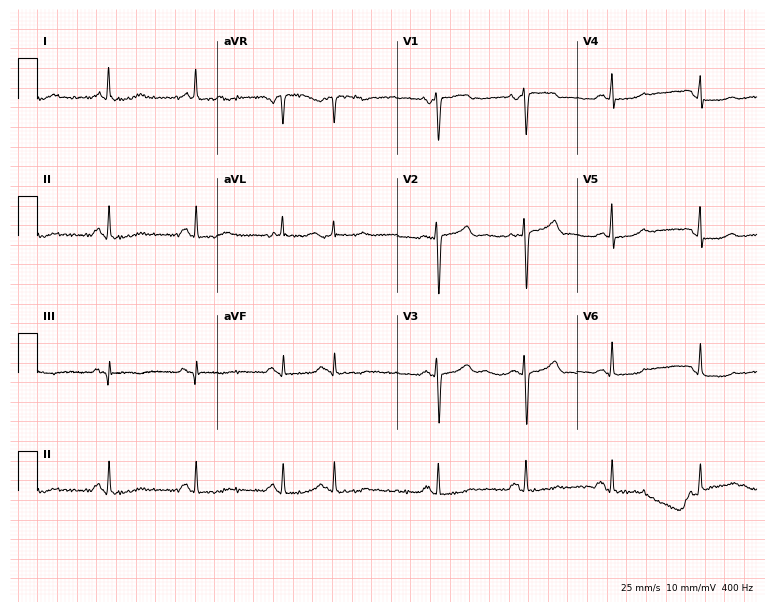
ECG (7.3-second recording at 400 Hz) — a woman, 38 years old. Screened for six findings — first-degree AV block, right bundle branch block, left bundle branch block, sinus bradycardia, atrial fibrillation, sinus tachycardia — none is recorded.